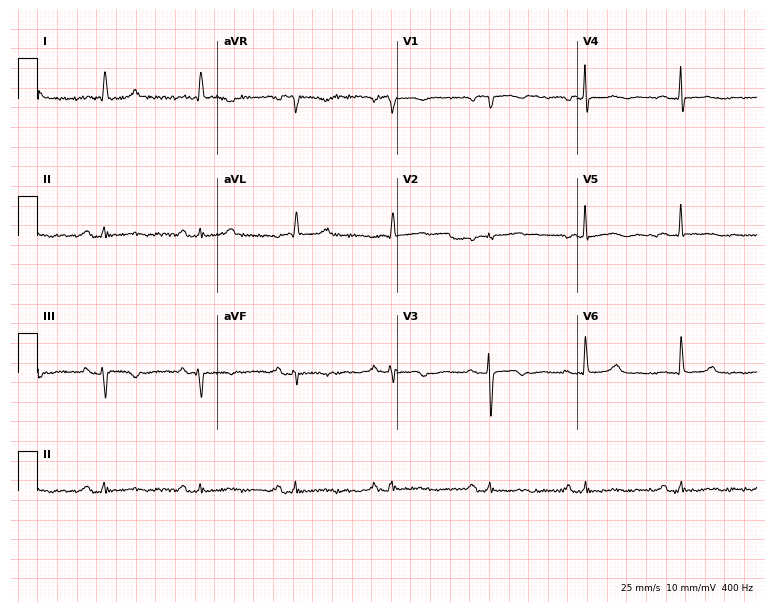
12-lead ECG (7.3-second recording at 400 Hz) from a 73-year-old female patient. Screened for six findings — first-degree AV block, right bundle branch block, left bundle branch block, sinus bradycardia, atrial fibrillation, sinus tachycardia — none is recorded.